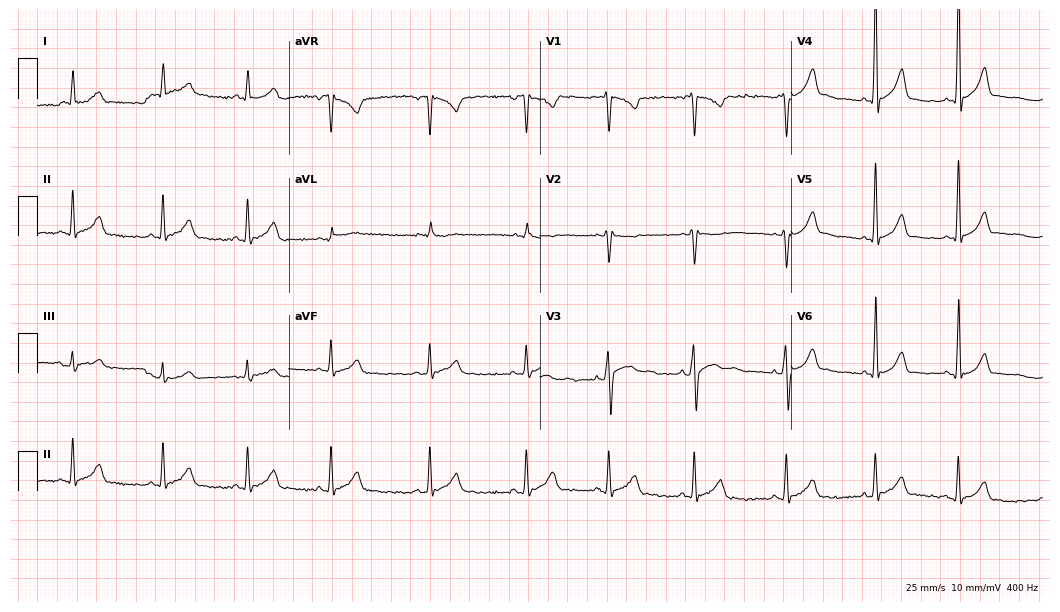
12-lead ECG from a 20-year-old man. Labelled as a normal ECG.